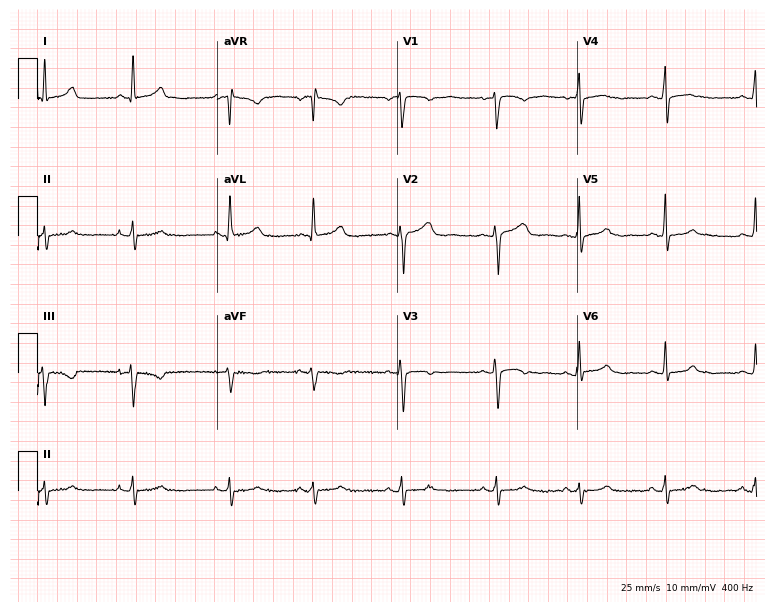
Resting 12-lead electrocardiogram. Patient: a female, 39 years old. None of these six findings is recorded: first-degree AV block, right bundle branch block, left bundle branch block, sinus bradycardia, atrial fibrillation, sinus tachycardia. Other findings, if any, are not listed.